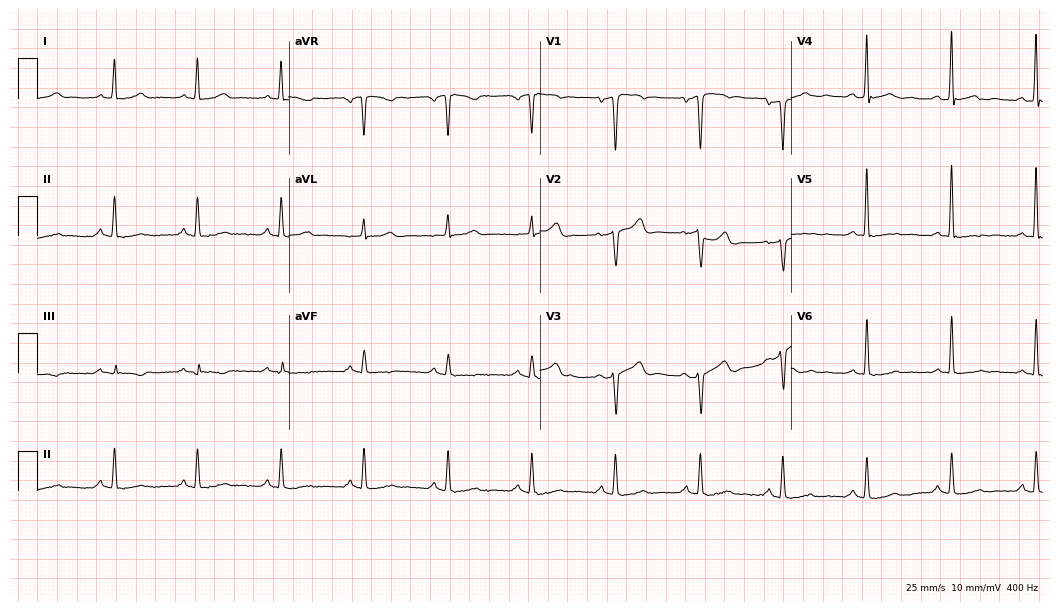
Resting 12-lead electrocardiogram (10.2-second recording at 400 Hz). Patient: a male, 55 years old. None of these six findings is recorded: first-degree AV block, right bundle branch block (RBBB), left bundle branch block (LBBB), sinus bradycardia, atrial fibrillation (AF), sinus tachycardia.